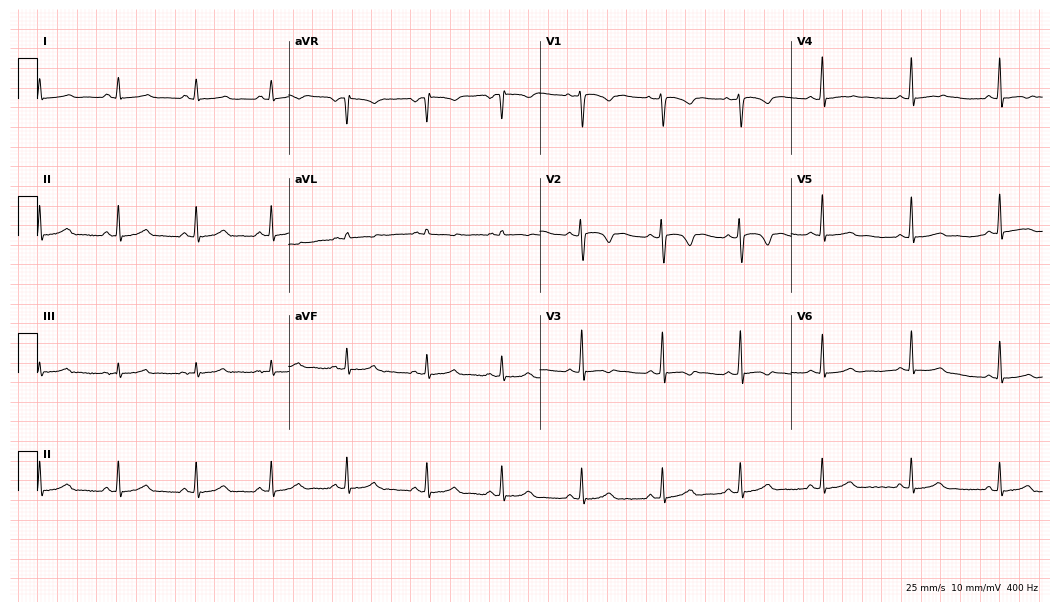
Electrocardiogram, a female patient, 17 years old. Overall reading on record: normal ECG.